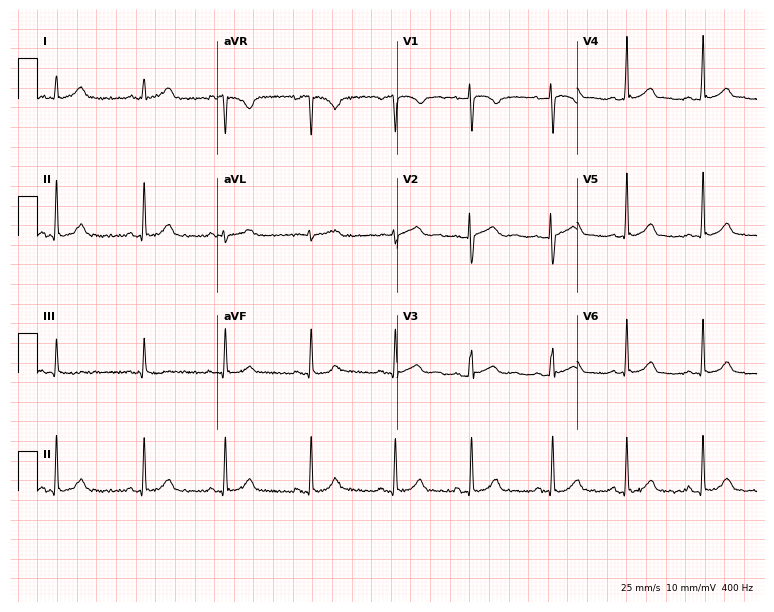
Resting 12-lead electrocardiogram. Patient: a 28-year-old female. Read as a normal ECG.